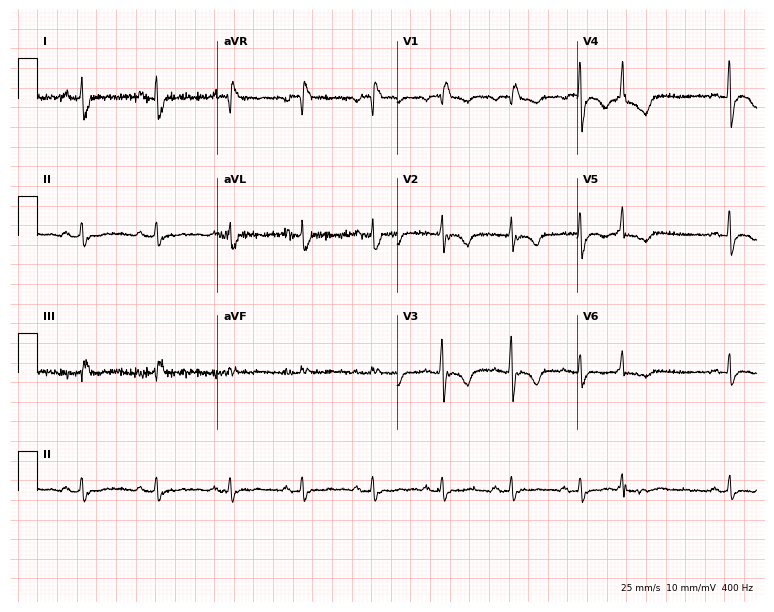
Electrocardiogram (7.3-second recording at 400 Hz), a 69-year-old woman. Of the six screened findings (first-degree AV block, right bundle branch block, left bundle branch block, sinus bradycardia, atrial fibrillation, sinus tachycardia), none is recorded. Only these six findings were labelled.